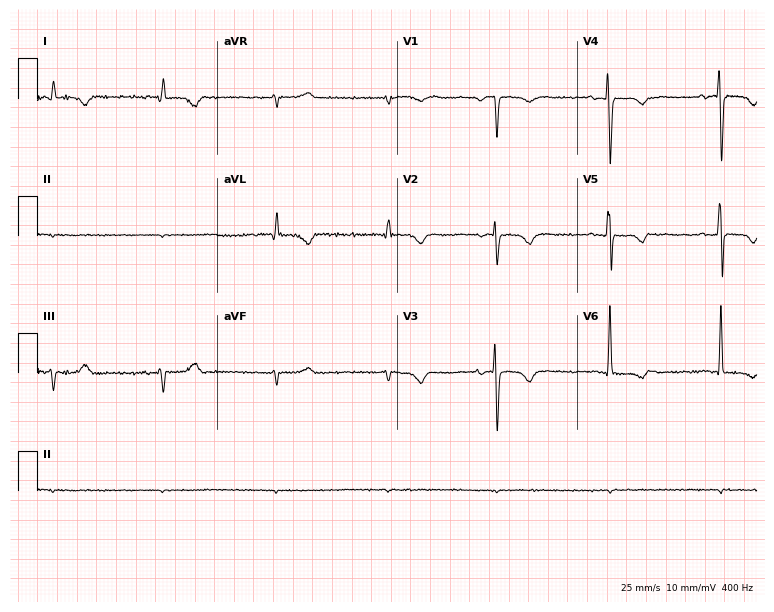
Electrocardiogram, a woman, 72 years old. Of the six screened findings (first-degree AV block, right bundle branch block (RBBB), left bundle branch block (LBBB), sinus bradycardia, atrial fibrillation (AF), sinus tachycardia), none is recorded.